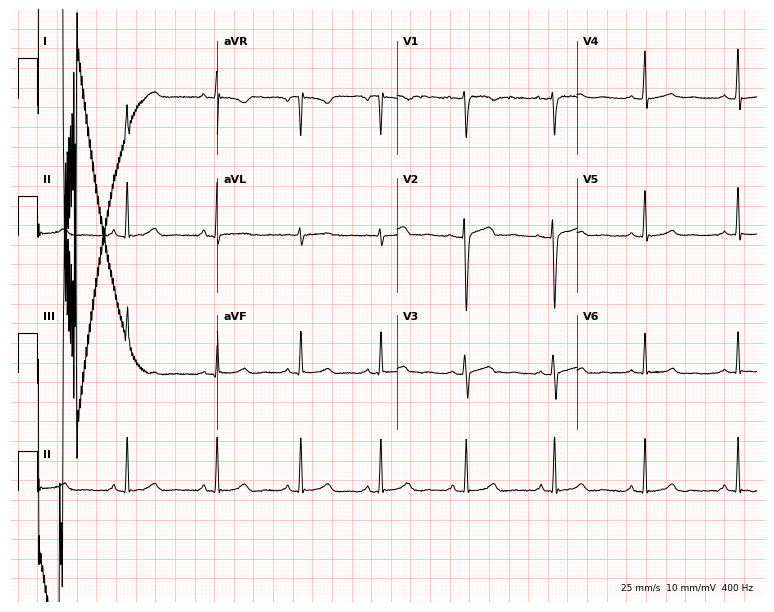
Resting 12-lead electrocardiogram. Patient: a 37-year-old female. Read as a normal ECG.